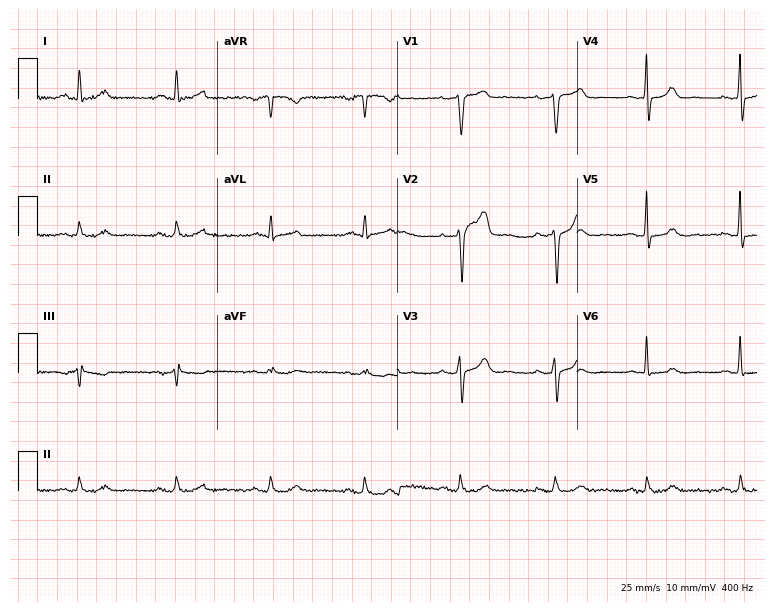
Standard 12-lead ECG recorded from a 59-year-old man. Read as a normal ECG.